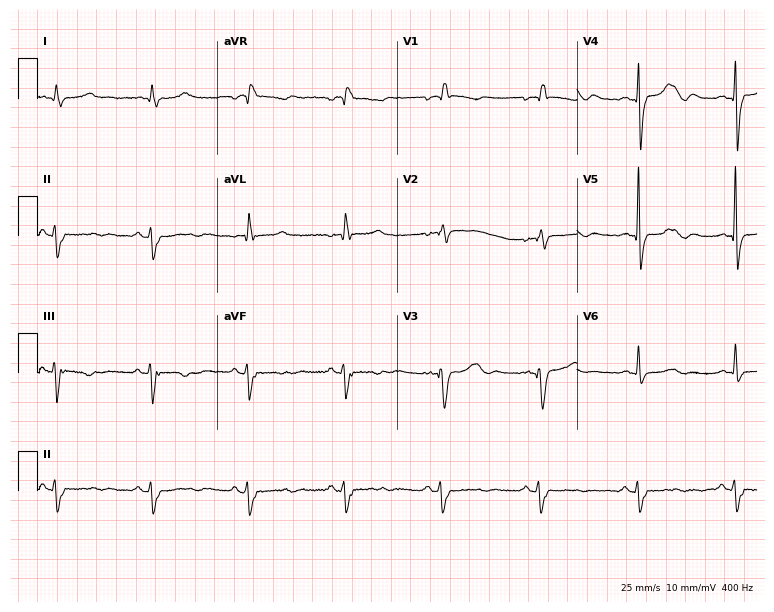
ECG — a 67-year-old female. Screened for six findings — first-degree AV block, right bundle branch block (RBBB), left bundle branch block (LBBB), sinus bradycardia, atrial fibrillation (AF), sinus tachycardia — none is recorded. Only these six findings were labelled.